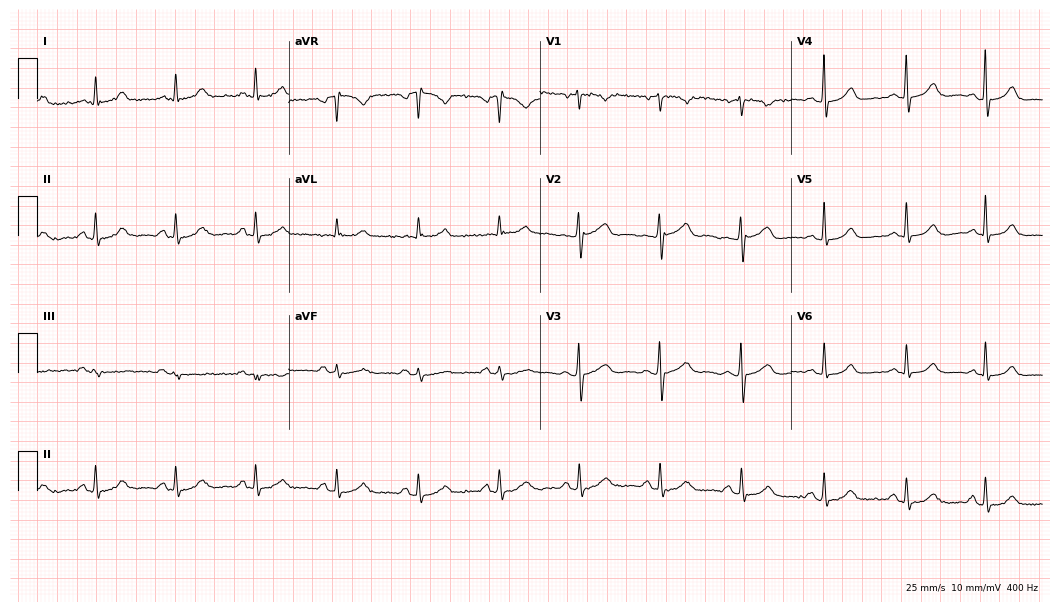
Standard 12-lead ECG recorded from a 64-year-old female (10.2-second recording at 400 Hz). Read as a normal ECG.